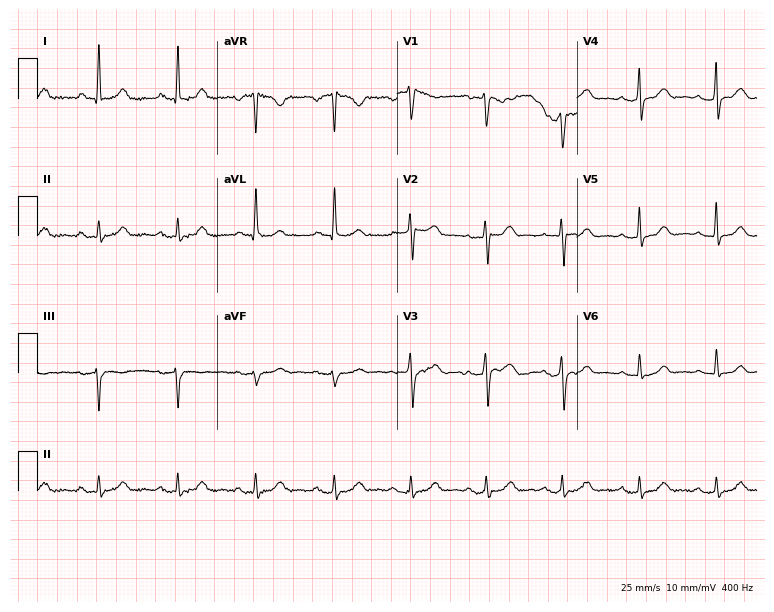
ECG — a 51-year-old female patient. Labelled as a normal ECG.